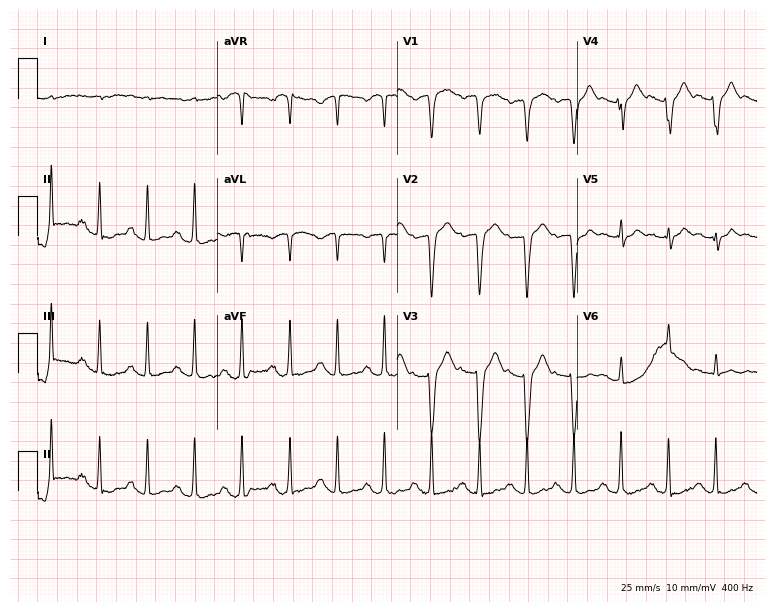
ECG — a 70-year-old man. Screened for six findings — first-degree AV block, right bundle branch block, left bundle branch block, sinus bradycardia, atrial fibrillation, sinus tachycardia — none is recorded. Other findings, if any, are not listed.